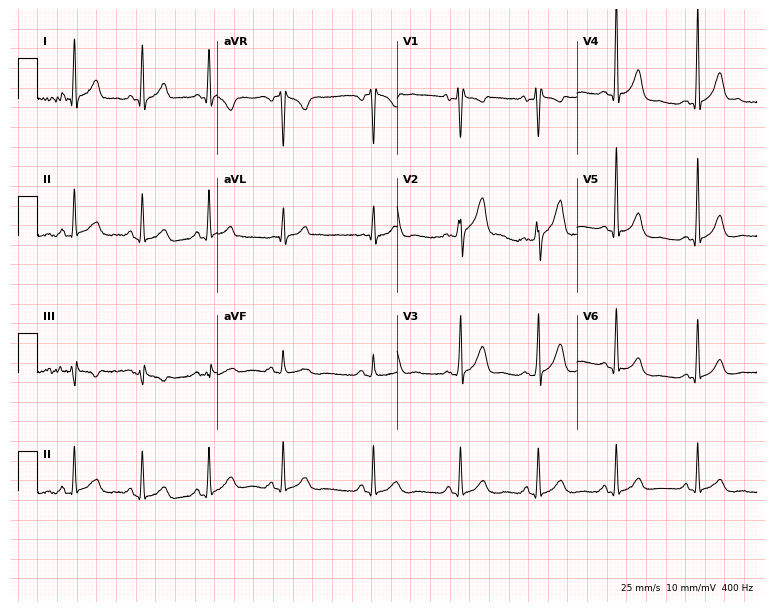
12-lead ECG from a male patient, 47 years old (7.3-second recording at 400 Hz). Recorded interpretation: within normal limits.